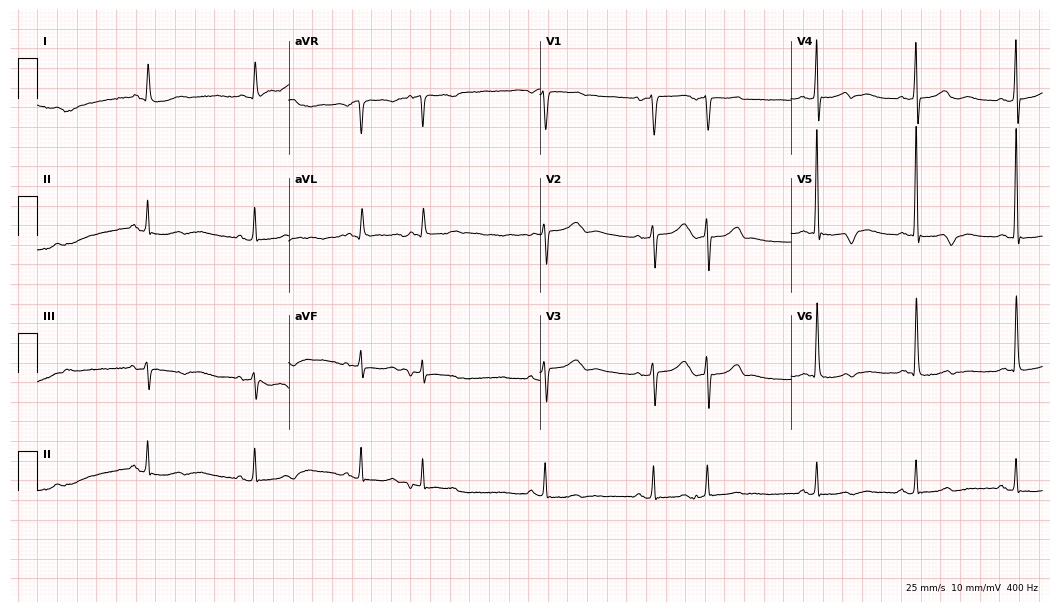
Standard 12-lead ECG recorded from a 69-year-old female (10.2-second recording at 400 Hz). None of these six findings is recorded: first-degree AV block, right bundle branch block (RBBB), left bundle branch block (LBBB), sinus bradycardia, atrial fibrillation (AF), sinus tachycardia.